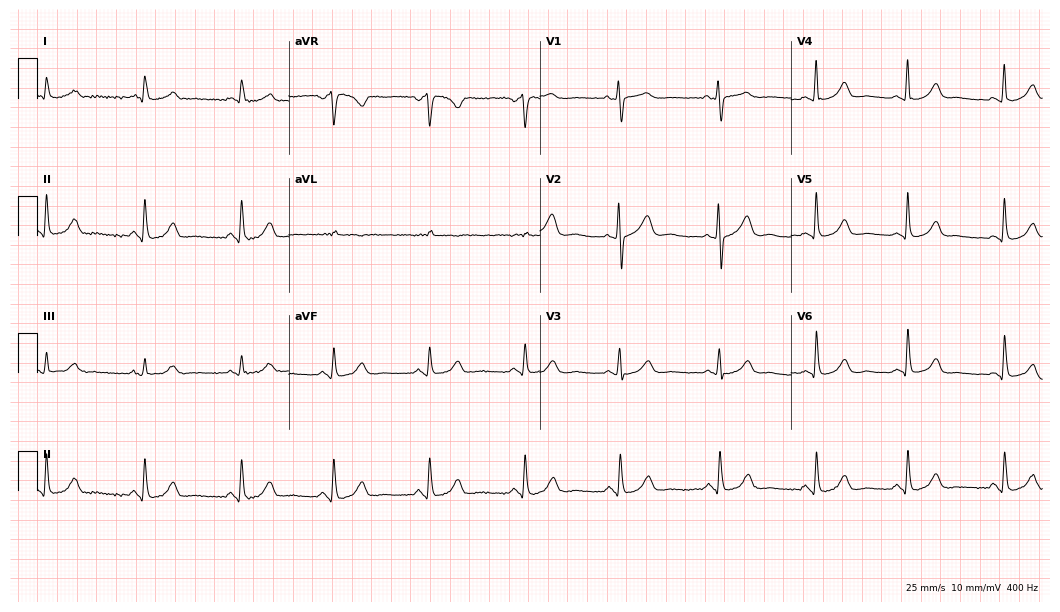
12-lead ECG from a 61-year-old female. Recorded interpretation: within normal limits.